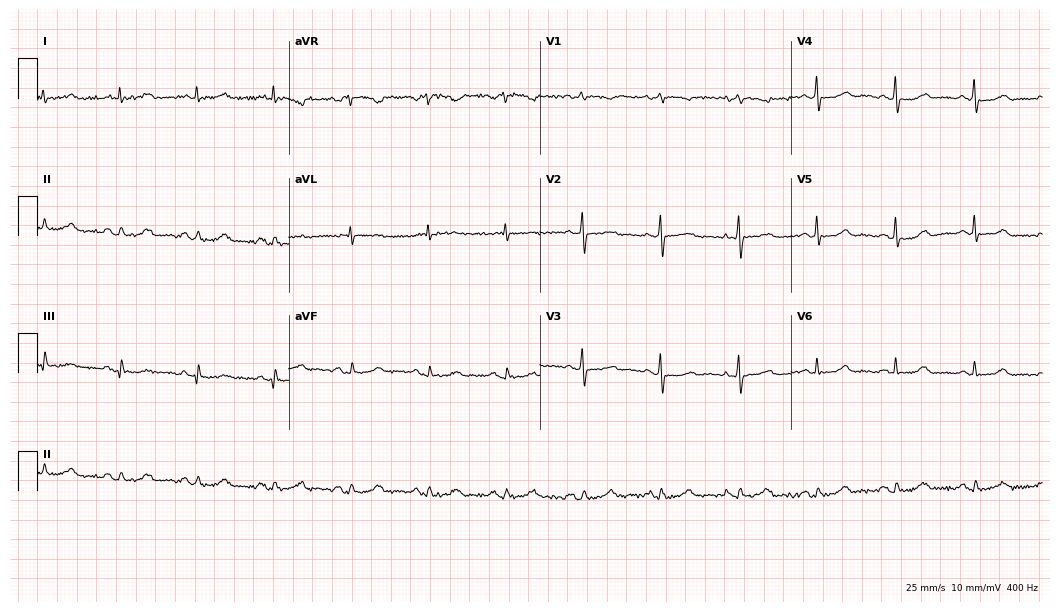
12-lead ECG from a female patient, 62 years old. Screened for six findings — first-degree AV block, right bundle branch block, left bundle branch block, sinus bradycardia, atrial fibrillation, sinus tachycardia — none is recorded. Findings outside these six are not listed.